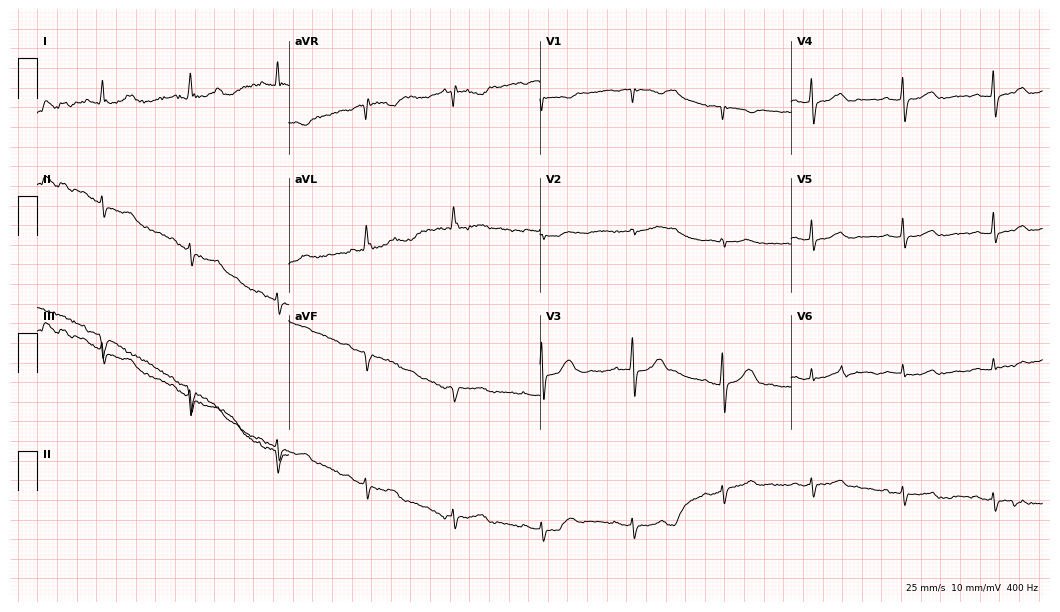
Standard 12-lead ECG recorded from a 74-year-old female patient (10.2-second recording at 400 Hz). None of these six findings is recorded: first-degree AV block, right bundle branch block, left bundle branch block, sinus bradycardia, atrial fibrillation, sinus tachycardia. Only these six findings were labelled.